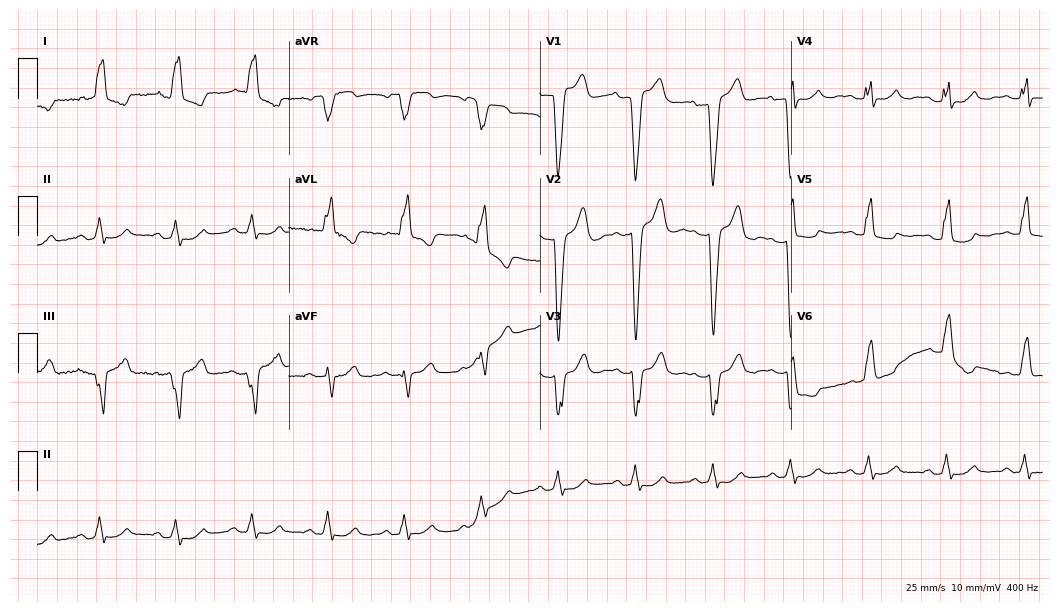
12-lead ECG (10.2-second recording at 400 Hz) from a 67-year-old female. Findings include left bundle branch block.